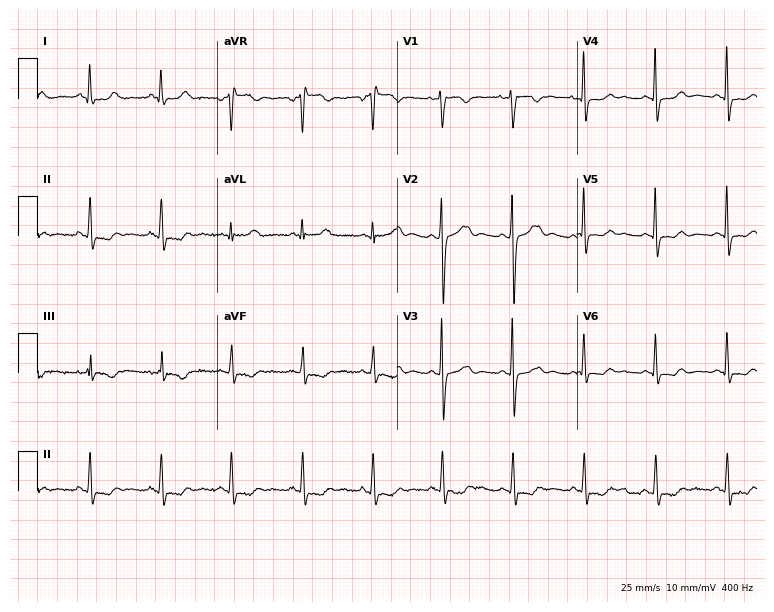
ECG — a 42-year-old female. Screened for six findings — first-degree AV block, right bundle branch block (RBBB), left bundle branch block (LBBB), sinus bradycardia, atrial fibrillation (AF), sinus tachycardia — none is recorded.